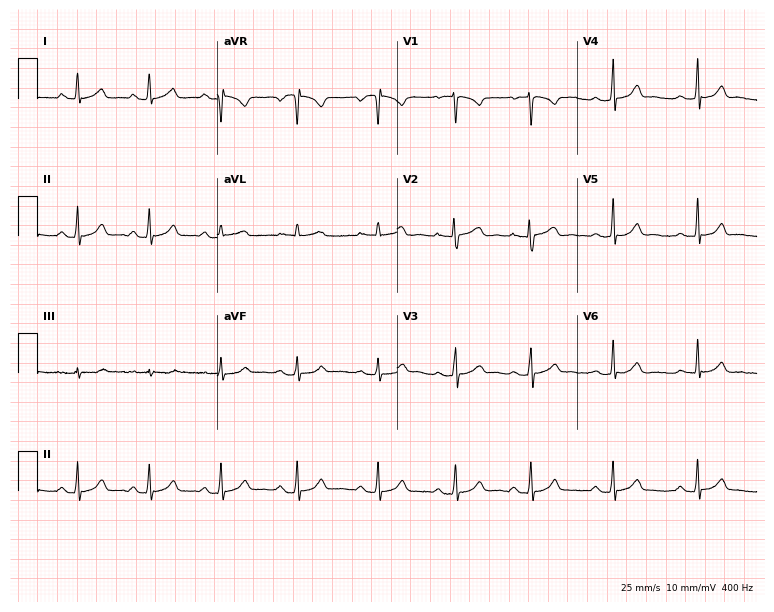
ECG (7.3-second recording at 400 Hz) — a female patient, 17 years old. Labelled as a normal ECG.